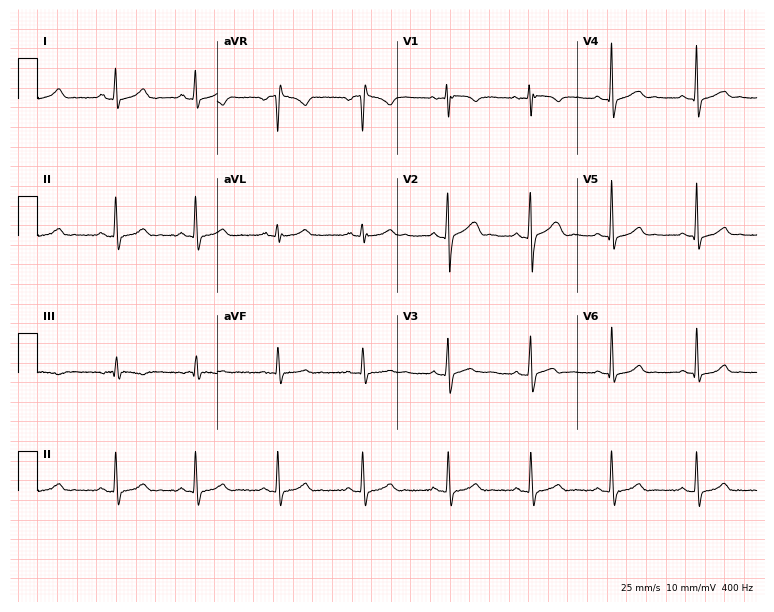
ECG (7.3-second recording at 400 Hz) — a 26-year-old woman. Labelled as a normal ECG.